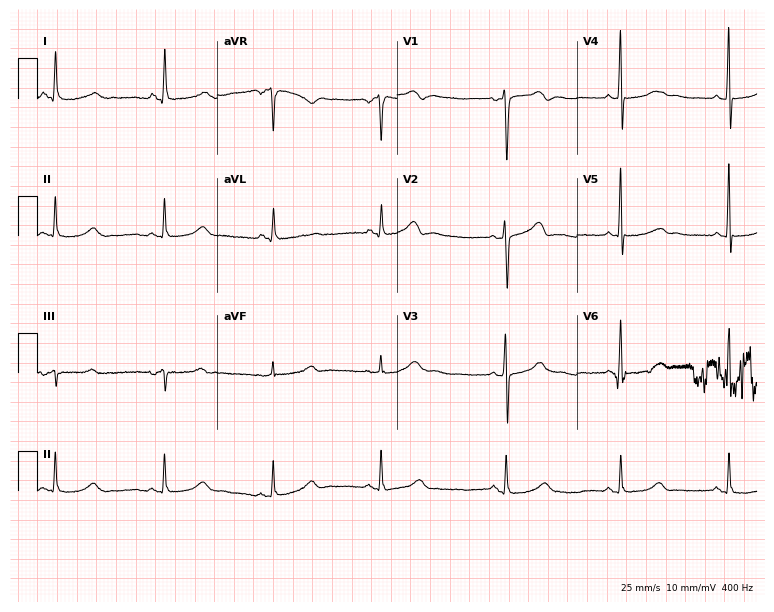
12-lead ECG (7.3-second recording at 400 Hz) from a female patient, 53 years old. Screened for six findings — first-degree AV block, right bundle branch block (RBBB), left bundle branch block (LBBB), sinus bradycardia, atrial fibrillation (AF), sinus tachycardia — none is recorded. Only these six findings were labelled.